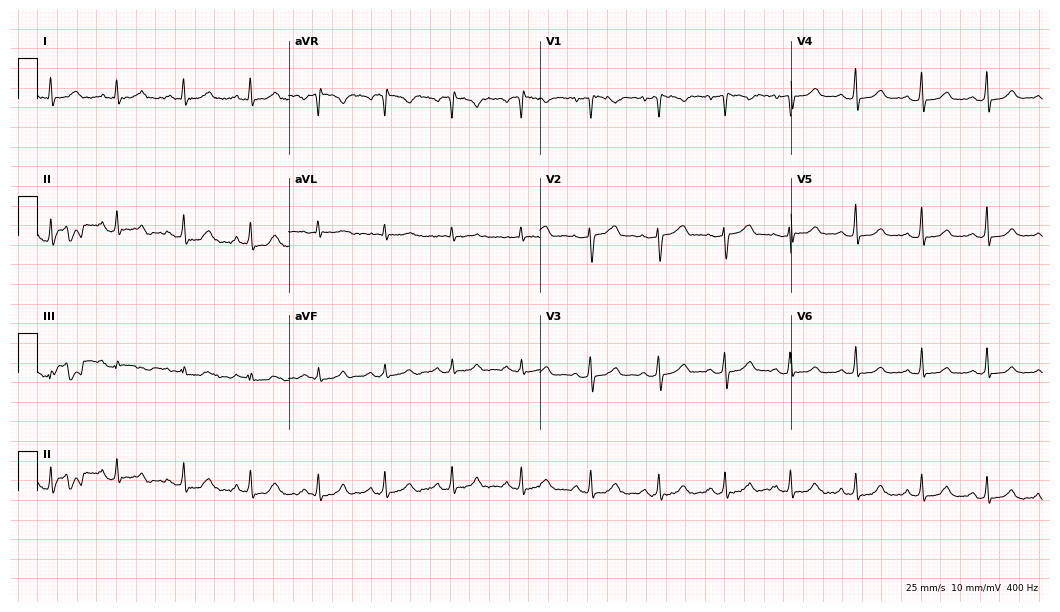
12-lead ECG from a female, 33 years old. Labelled as a normal ECG.